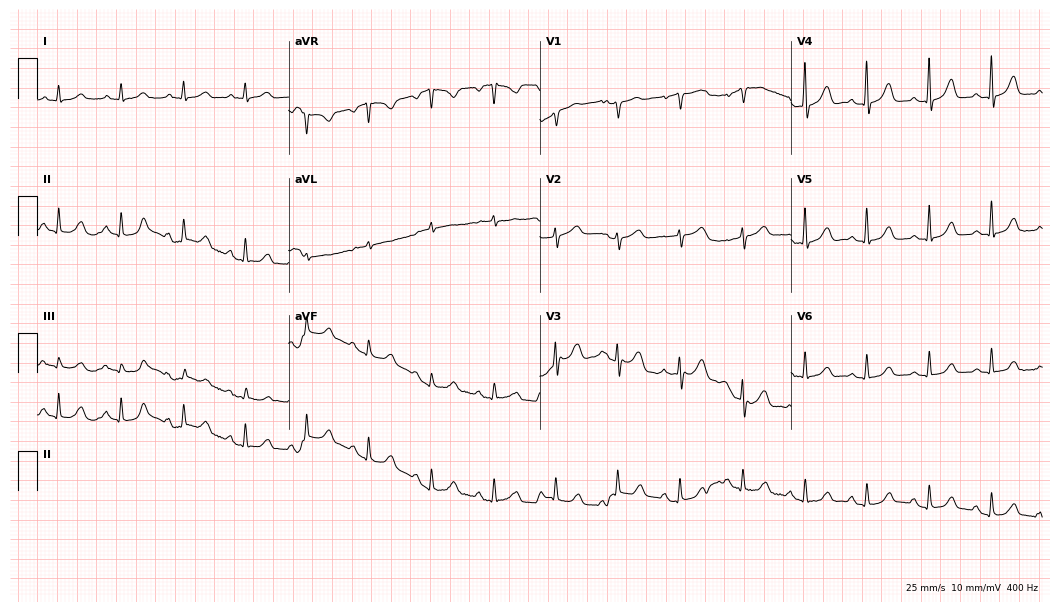
12-lead ECG from a 70-year-old female patient (10.2-second recording at 400 Hz). No first-degree AV block, right bundle branch block, left bundle branch block, sinus bradycardia, atrial fibrillation or sinus tachycardia recorded for this tracing.